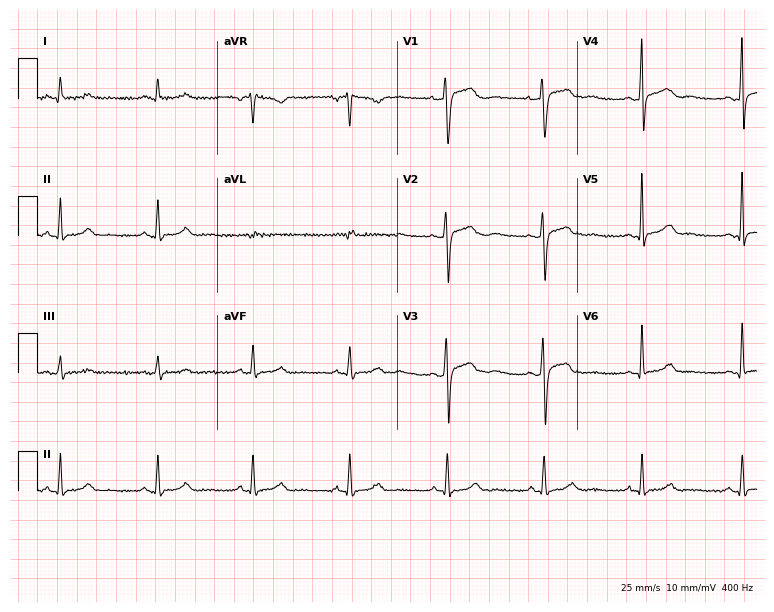
12-lead ECG from a 54-year-old male (7.3-second recording at 400 Hz). No first-degree AV block, right bundle branch block, left bundle branch block, sinus bradycardia, atrial fibrillation or sinus tachycardia recorded for this tracing.